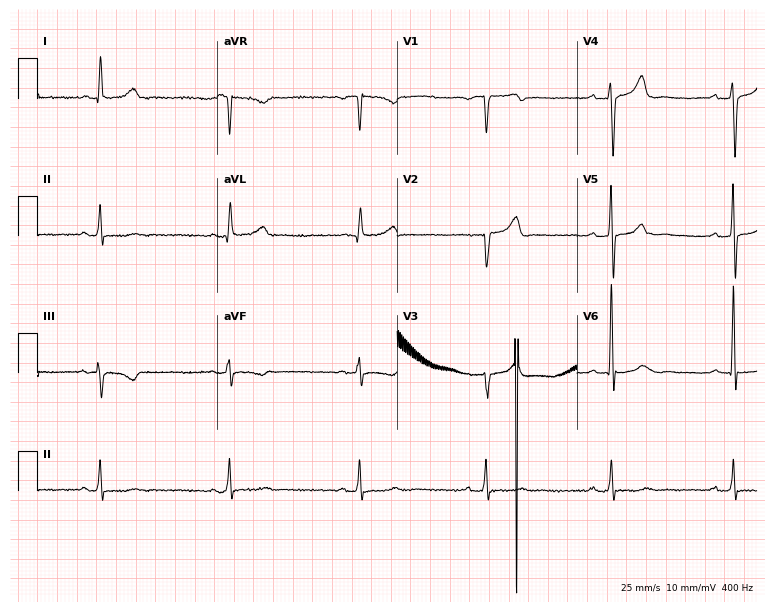
ECG — a male, 76 years old. Screened for six findings — first-degree AV block, right bundle branch block, left bundle branch block, sinus bradycardia, atrial fibrillation, sinus tachycardia — none is recorded.